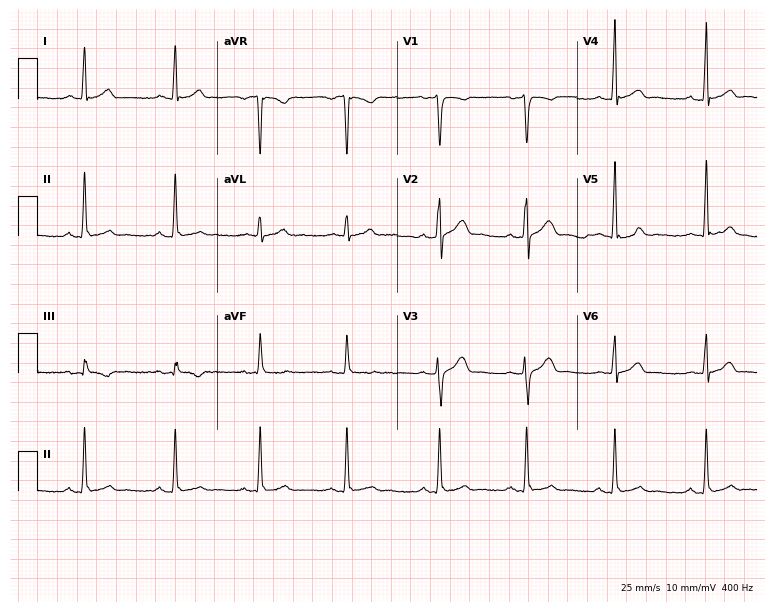
Resting 12-lead electrocardiogram. Patient: a 23-year-old male. Read as a normal ECG.